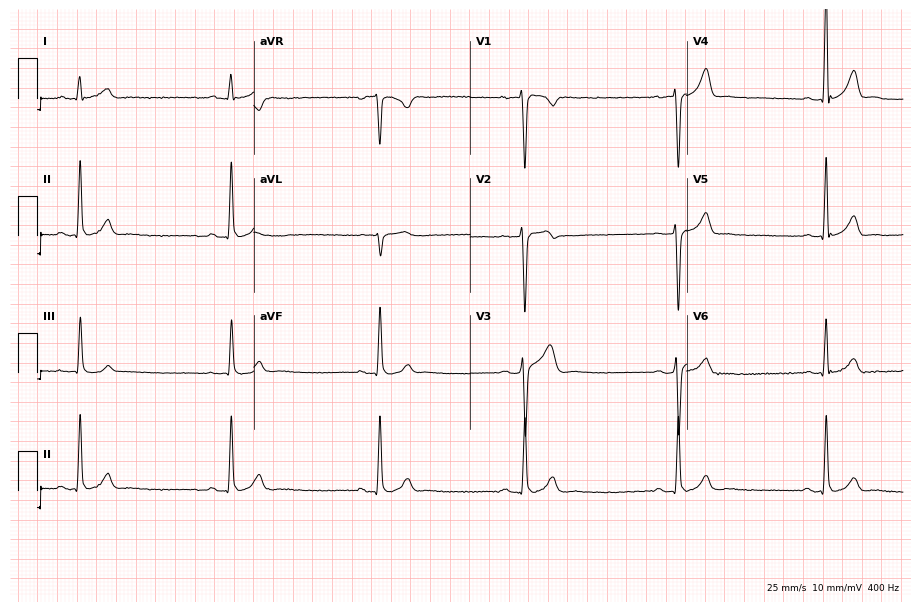
12-lead ECG from a male, 25 years old. Screened for six findings — first-degree AV block, right bundle branch block, left bundle branch block, sinus bradycardia, atrial fibrillation, sinus tachycardia — none is recorded. Only these six findings were labelled.